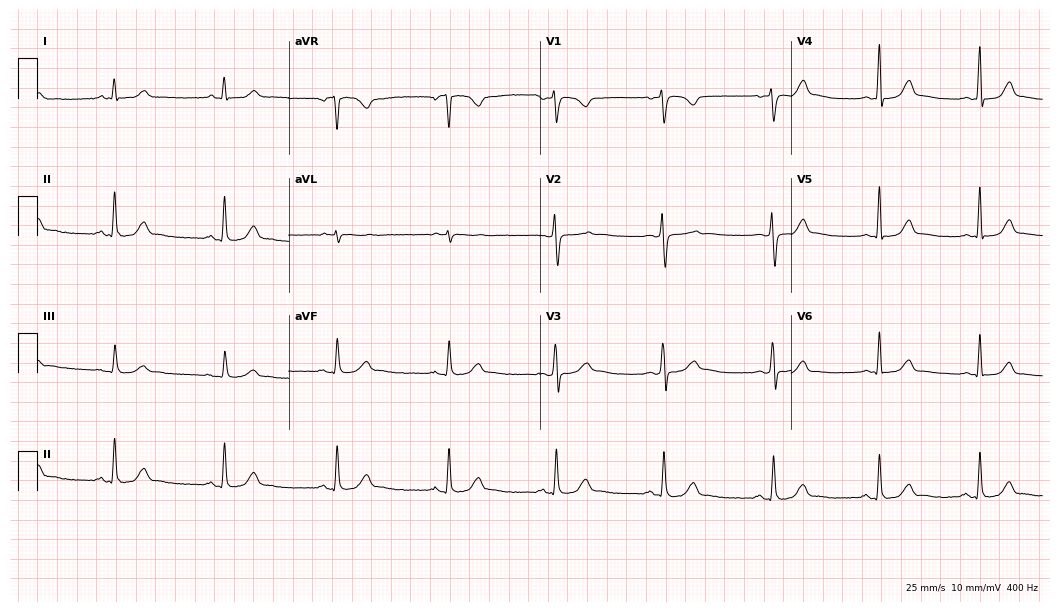
12-lead ECG from a woman, 29 years old. Recorded interpretation: within normal limits.